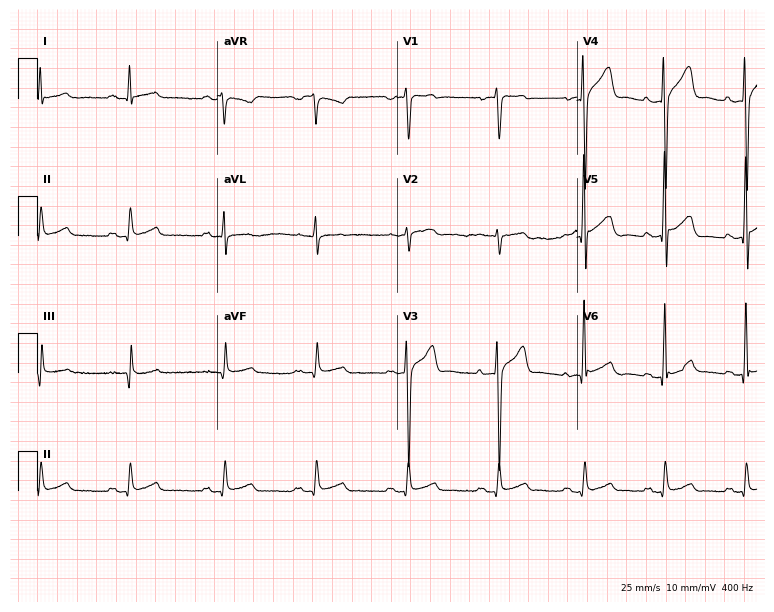
Resting 12-lead electrocardiogram (7.3-second recording at 400 Hz). Patient: a 41-year-old male. None of these six findings is recorded: first-degree AV block, right bundle branch block (RBBB), left bundle branch block (LBBB), sinus bradycardia, atrial fibrillation (AF), sinus tachycardia.